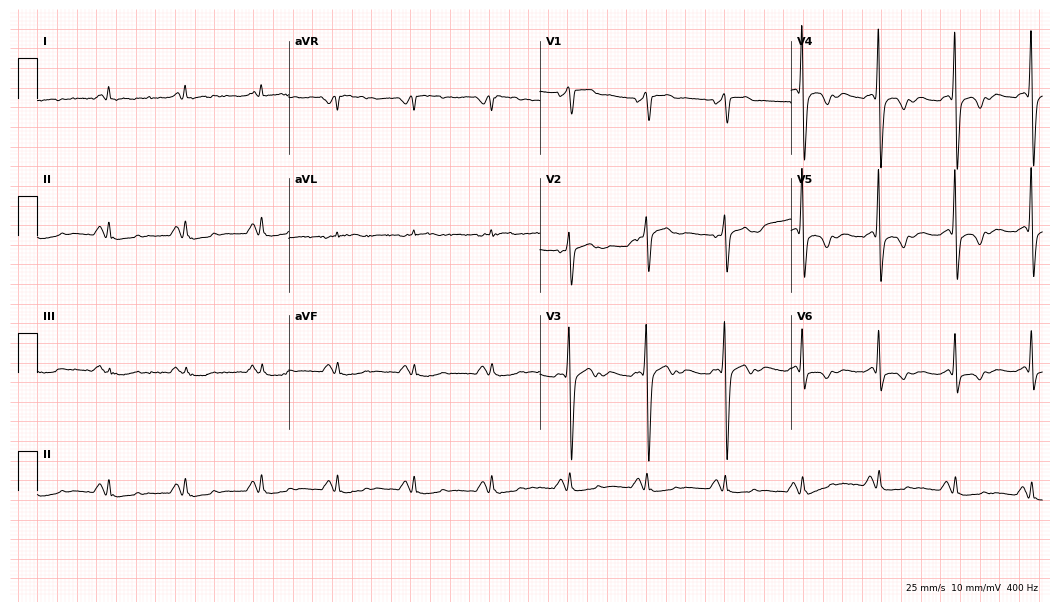
Electrocardiogram (10.2-second recording at 400 Hz), a 79-year-old male patient. Of the six screened findings (first-degree AV block, right bundle branch block (RBBB), left bundle branch block (LBBB), sinus bradycardia, atrial fibrillation (AF), sinus tachycardia), none is recorded.